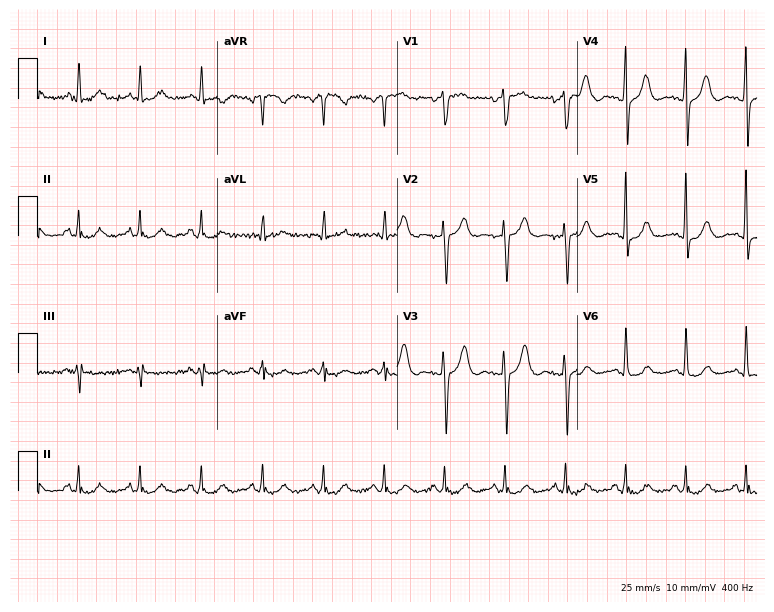
Electrocardiogram (7.3-second recording at 400 Hz), a 78-year-old male patient. Of the six screened findings (first-degree AV block, right bundle branch block, left bundle branch block, sinus bradycardia, atrial fibrillation, sinus tachycardia), none is recorded. Other findings, if any, are not listed.